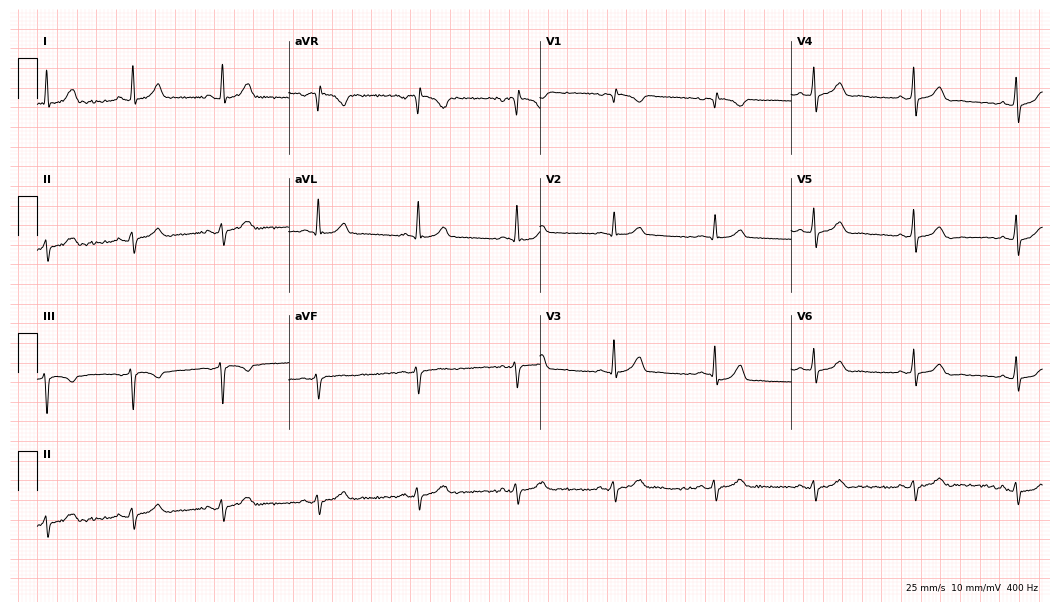
Electrocardiogram (10.2-second recording at 400 Hz), a male, 45 years old. Of the six screened findings (first-degree AV block, right bundle branch block, left bundle branch block, sinus bradycardia, atrial fibrillation, sinus tachycardia), none is recorded. Findings outside these six are not listed.